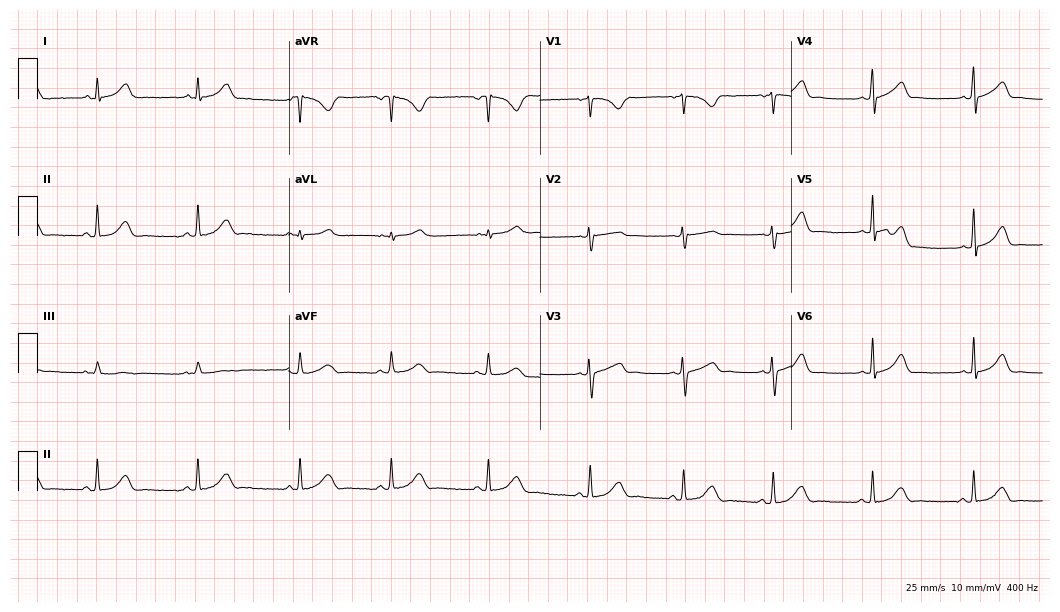
ECG (10.2-second recording at 400 Hz) — an 18-year-old woman. Labelled as a normal ECG.